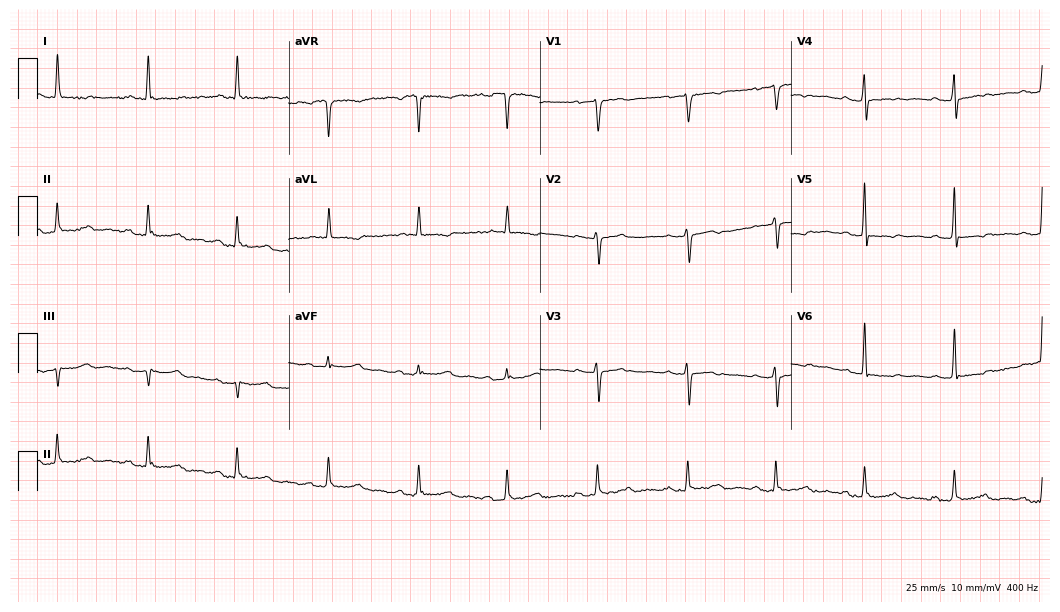
Electrocardiogram (10.2-second recording at 400 Hz), a 71-year-old female patient. Of the six screened findings (first-degree AV block, right bundle branch block (RBBB), left bundle branch block (LBBB), sinus bradycardia, atrial fibrillation (AF), sinus tachycardia), none is recorded. Findings outside these six are not listed.